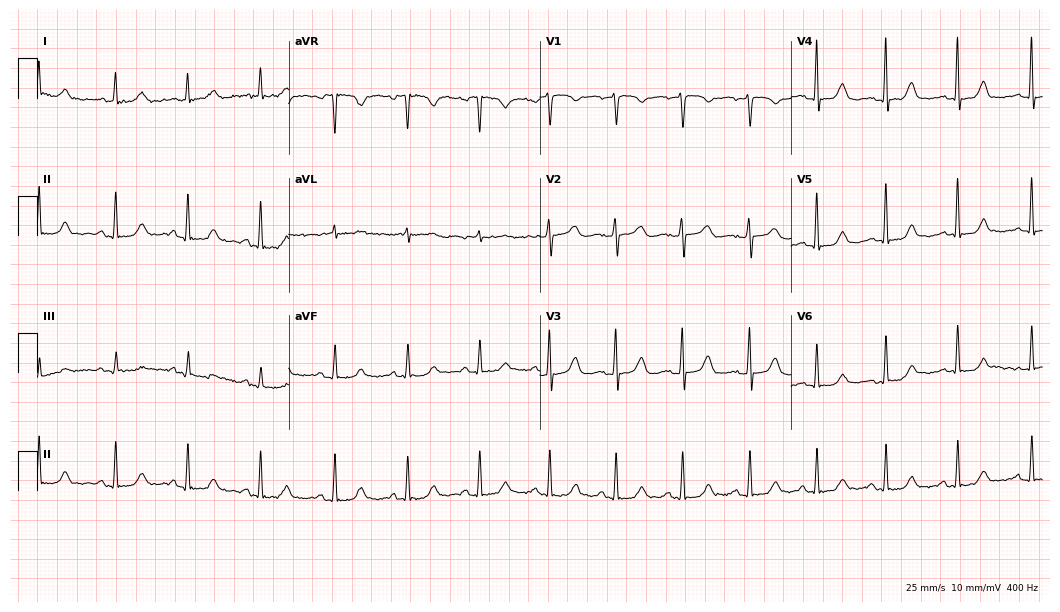
Electrocardiogram, a 50-year-old female. Overall reading on record: normal ECG.